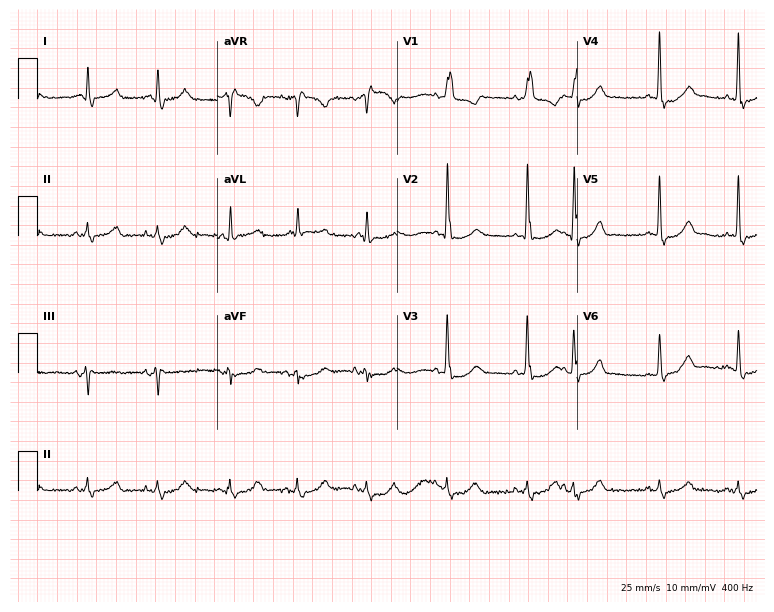
Standard 12-lead ECG recorded from a male, 63 years old (7.3-second recording at 400 Hz). None of these six findings is recorded: first-degree AV block, right bundle branch block (RBBB), left bundle branch block (LBBB), sinus bradycardia, atrial fibrillation (AF), sinus tachycardia.